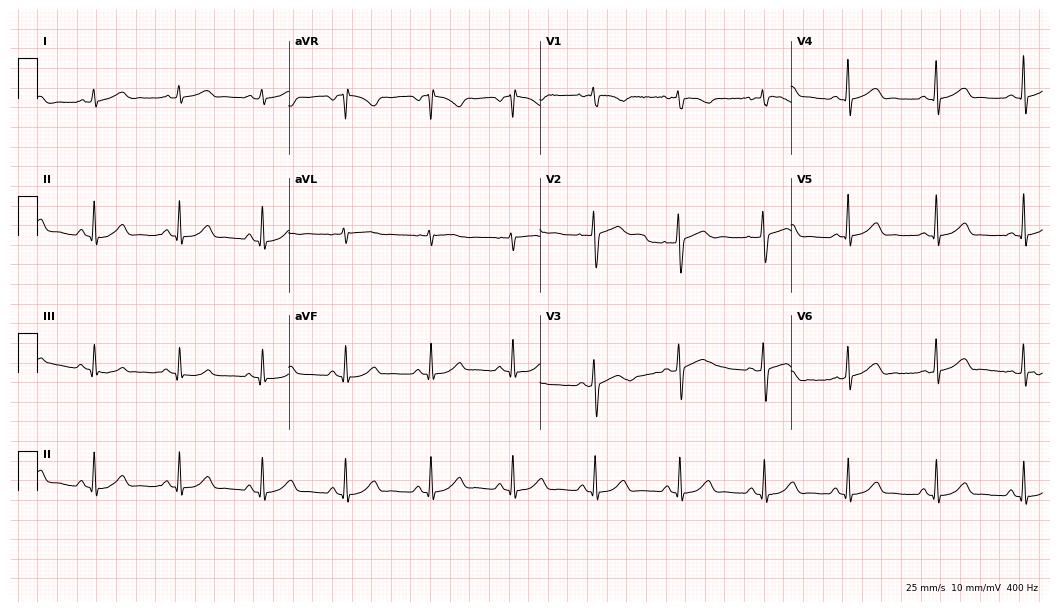
12-lead ECG from a 27-year-old female patient. Labelled as a normal ECG.